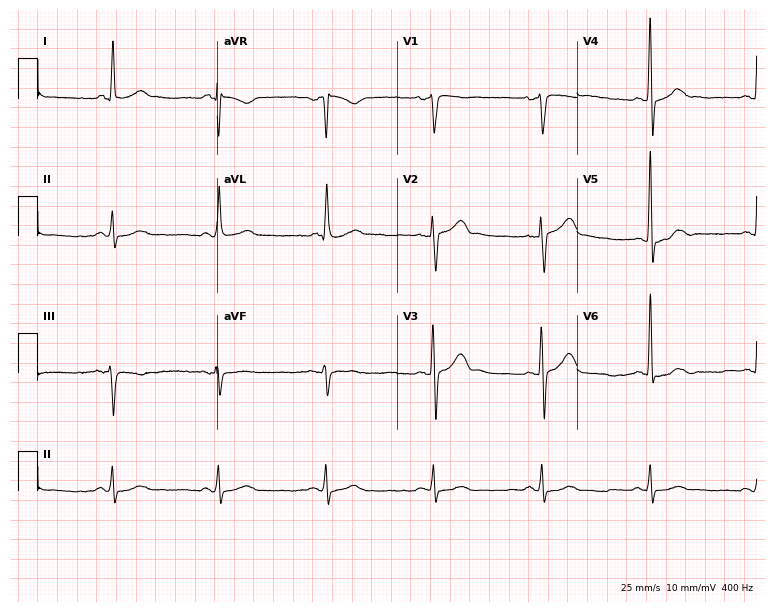
12-lead ECG from a man, 59 years old. Labelled as a normal ECG.